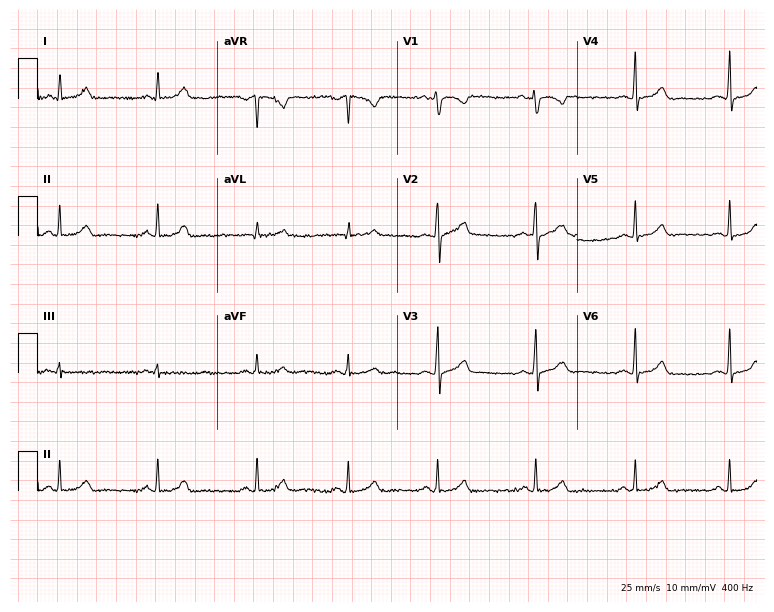
ECG — a 21-year-old female patient. Labelled as a normal ECG.